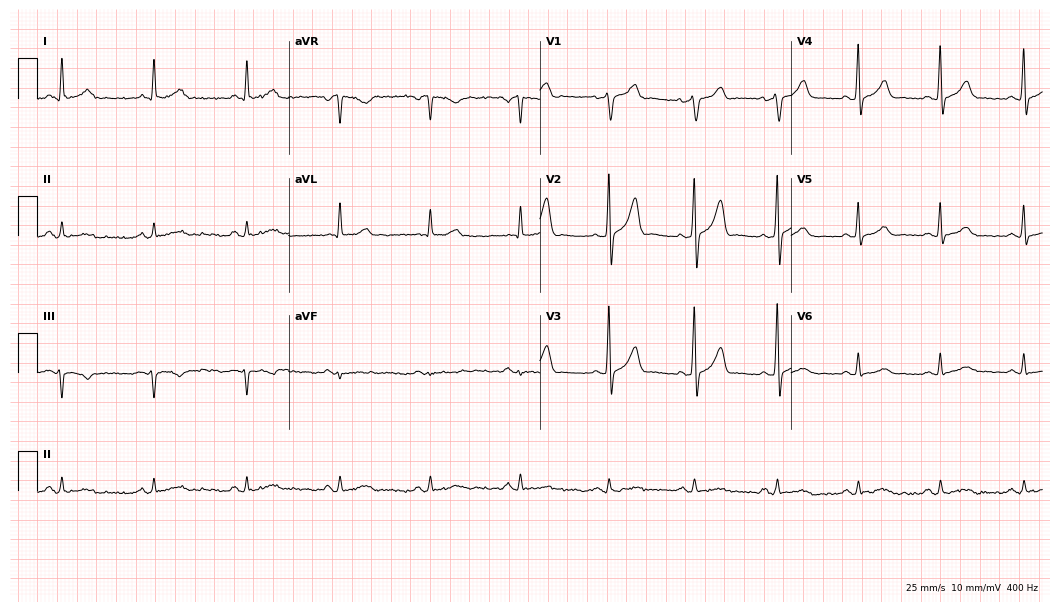
12-lead ECG from a 60-year-old male patient (10.2-second recording at 400 Hz). Recorded interpretation: within normal limits.